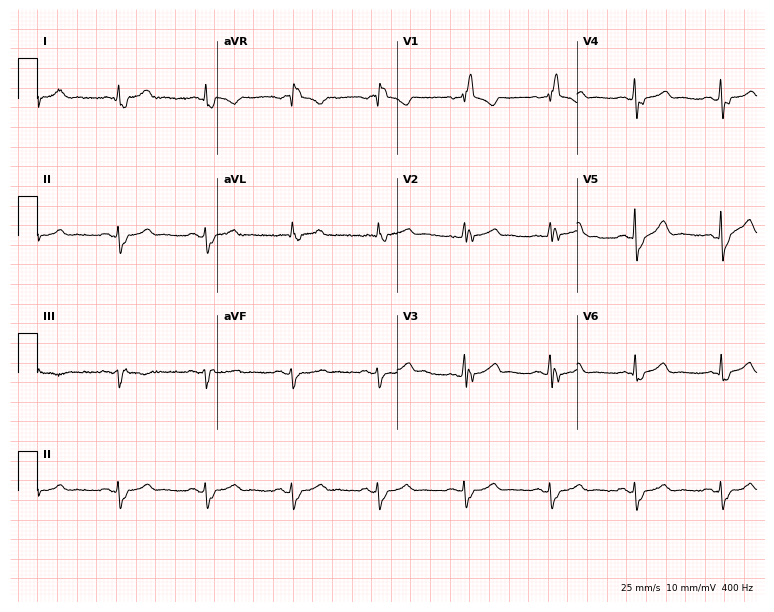
Standard 12-lead ECG recorded from a woman, 67 years old. The tracing shows right bundle branch block.